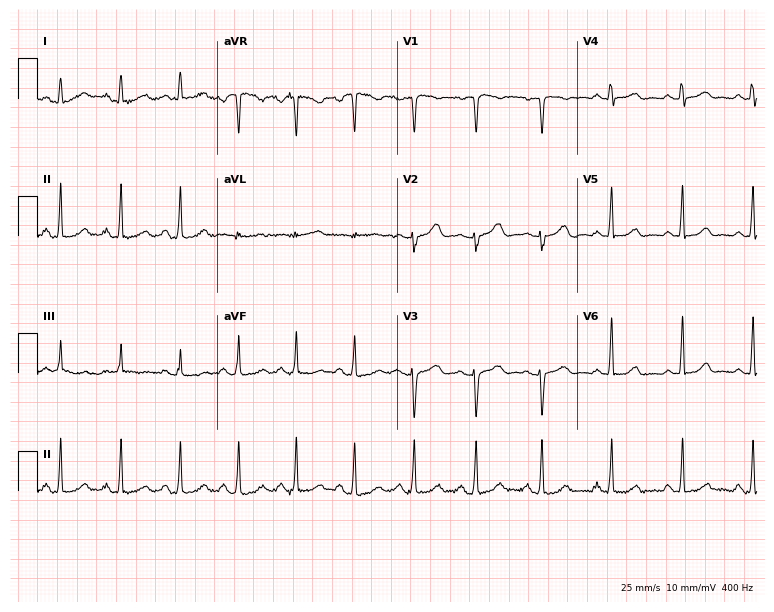
12-lead ECG (7.3-second recording at 400 Hz) from a female patient, 23 years old. Screened for six findings — first-degree AV block, right bundle branch block (RBBB), left bundle branch block (LBBB), sinus bradycardia, atrial fibrillation (AF), sinus tachycardia — none is recorded.